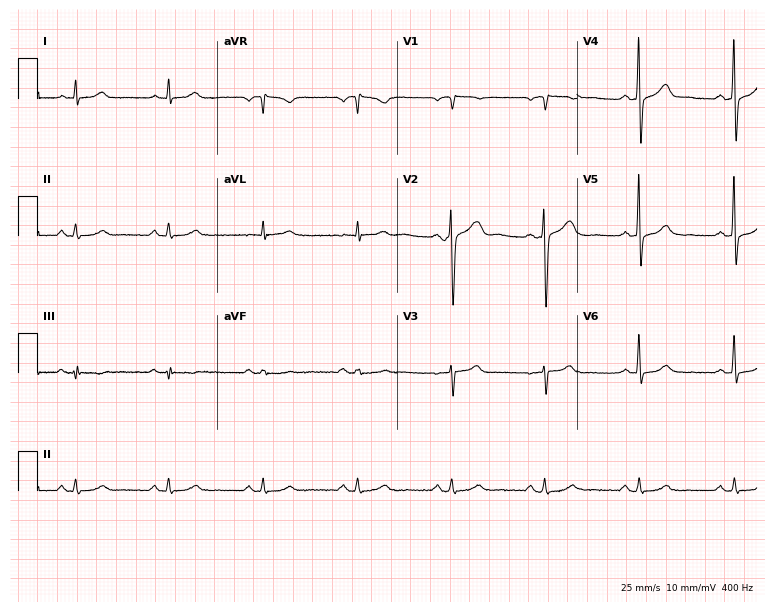
ECG (7.3-second recording at 400 Hz) — a 57-year-old male patient. Labelled as a normal ECG.